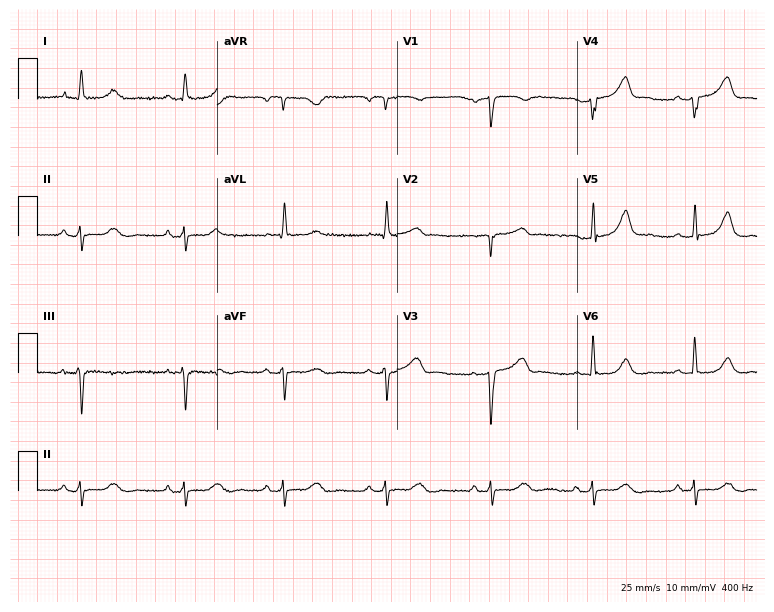
Standard 12-lead ECG recorded from a 69-year-old female patient. None of these six findings is recorded: first-degree AV block, right bundle branch block (RBBB), left bundle branch block (LBBB), sinus bradycardia, atrial fibrillation (AF), sinus tachycardia.